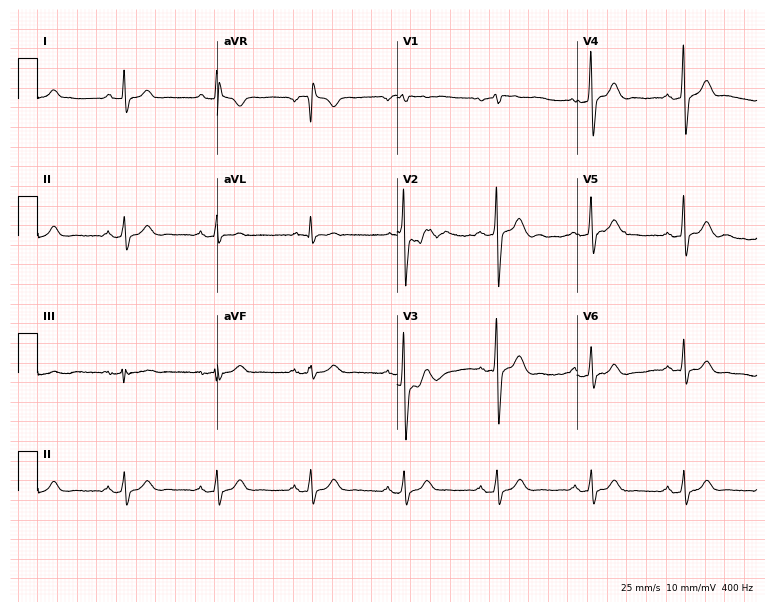
Resting 12-lead electrocardiogram. Patient: a 54-year-old man. Read as a normal ECG.